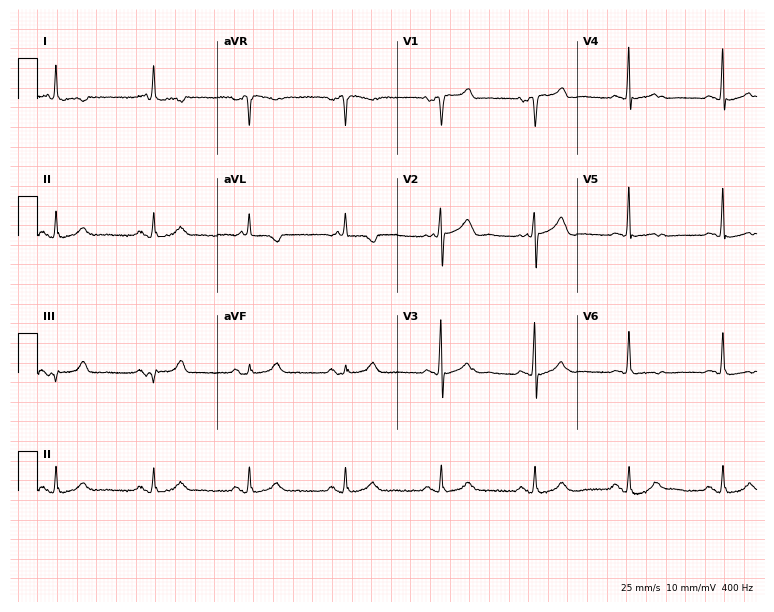
12-lead ECG from a 76-year-old female patient. Recorded interpretation: within normal limits.